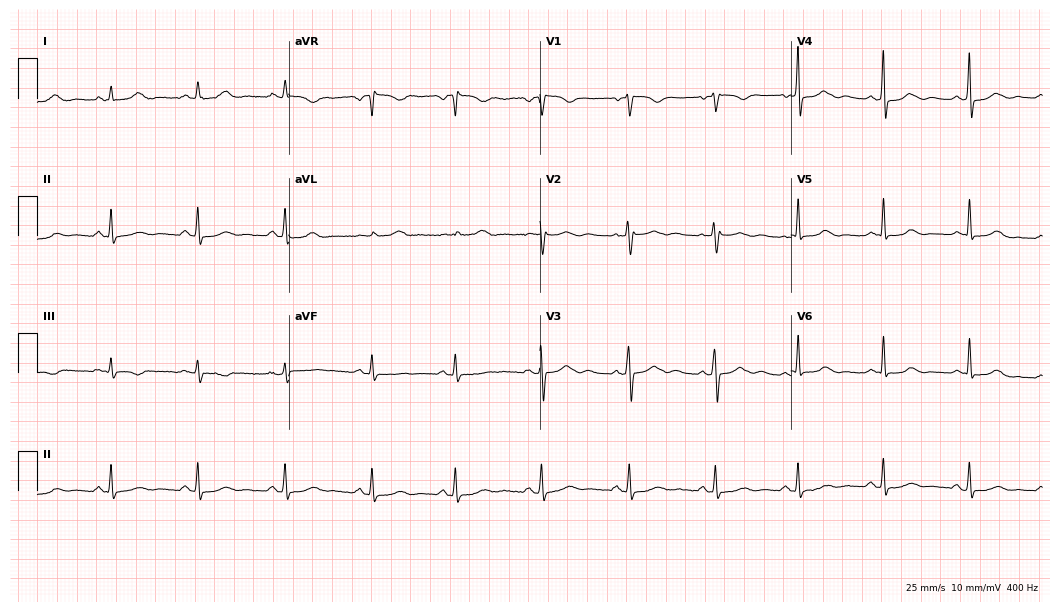
Electrocardiogram (10.2-second recording at 400 Hz), a 39-year-old female. Overall reading on record: normal ECG.